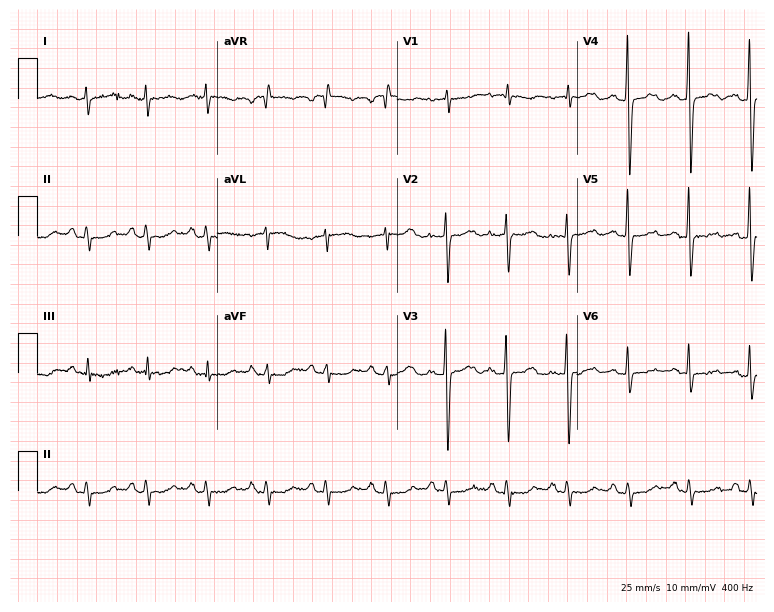
ECG (7.3-second recording at 400 Hz) — a male, 78 years old. Screened for six findings — first-degree AV block, right bundle branch block (RBBB), left bundle branch block (LBBB), sinus bradycardia, atrial fibrillation (AF), sinus tachycardia — none is recorded.